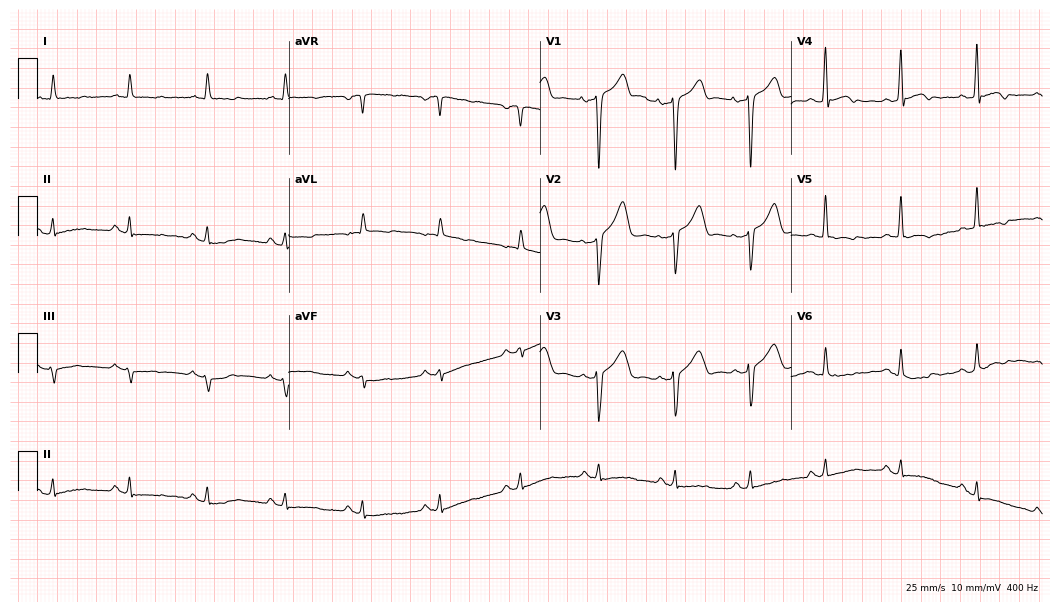
12-lead ECG from a 64-year-old male patient (10.2-second recording at 400 Hz). No first-degree AV block, right bundle branch block, left bundle branch block, sinus bradycardia, atrial fibrillation or sinus tachycardia recorded for this tracing.